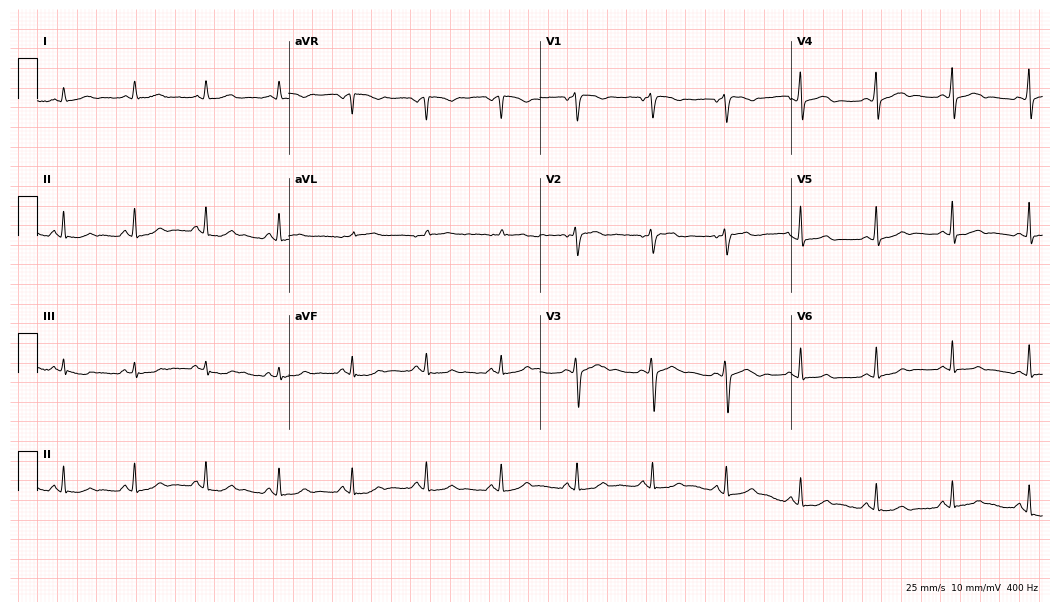
Resting 12-lead electrocardiogram (10.2-second recording at 400 Hz). Patient: a 34-year-old female. Read as a normal ECG.